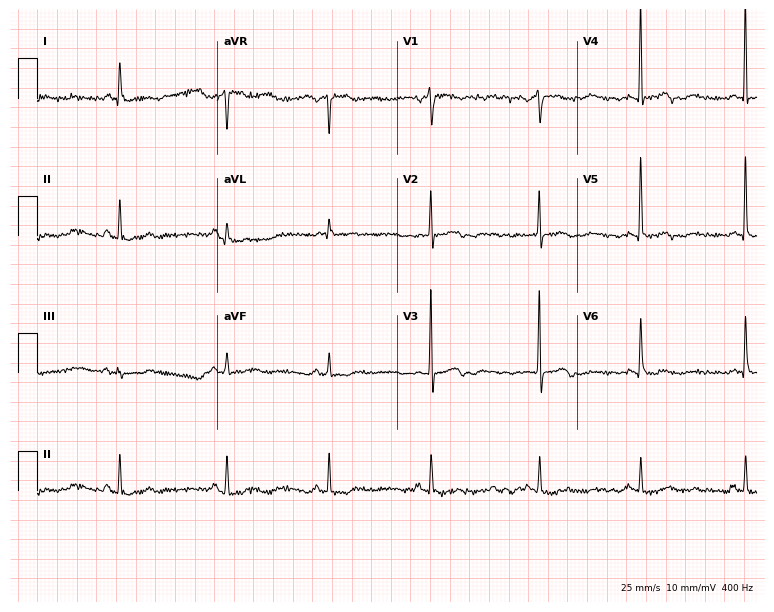
Standard 12-lead ECG recorded from a female patient, 77 years old (7.3-second recording at 400 Hz). None of these six findings is recorded: first-degree AV block, right bundle branch block, left bundle branch block, sinus bradycardia, atrial fibrillation, sinus tachycardia. Only these six findings were labelled.